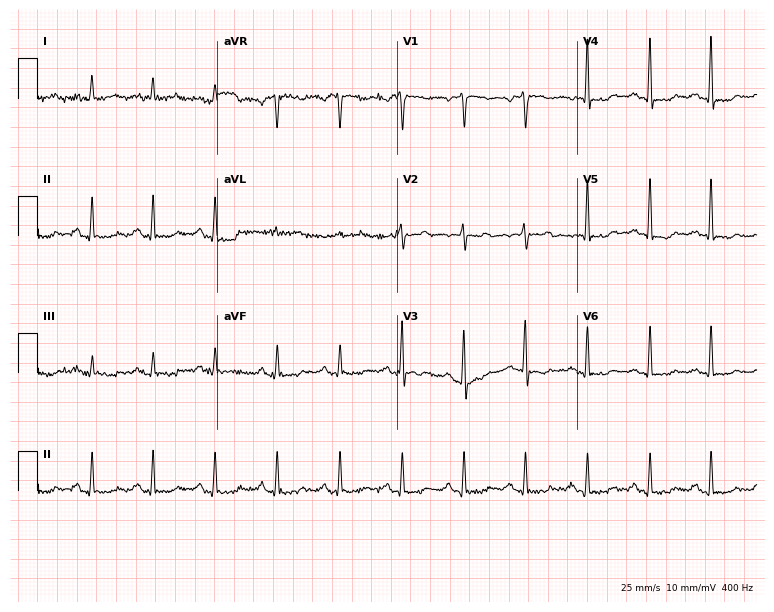
Standard 12-lead ECG recorded from a 79-year-old female. None of these six findings is recorded: first-degree AV block, right bundle branch block, left bundle branch block, sinus bradycardia, atrial fibrillation, sinus tachycardia. Other findings, if any, are not listed.